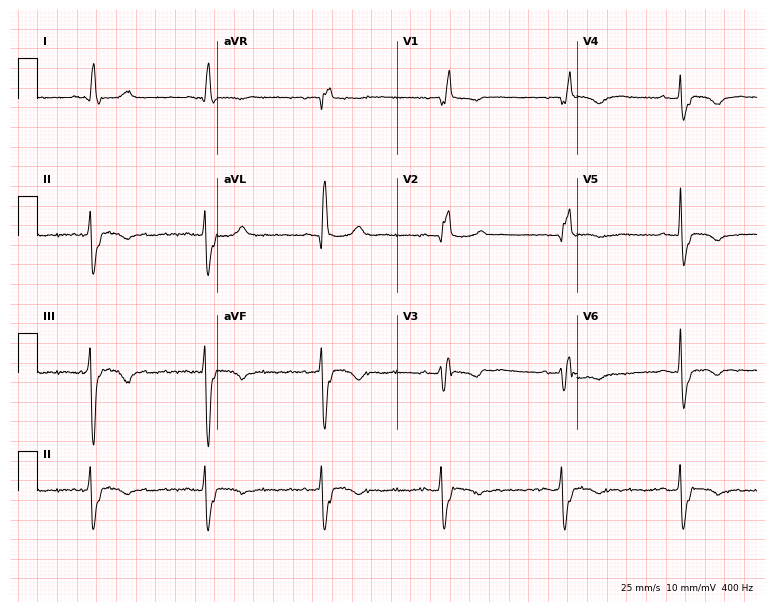
12-lead ECG from a woman, 80 years old. Findings include right bundle branch block (RBBB), sinus bradycardia (a sinus rate of 50 beats per minute or less).